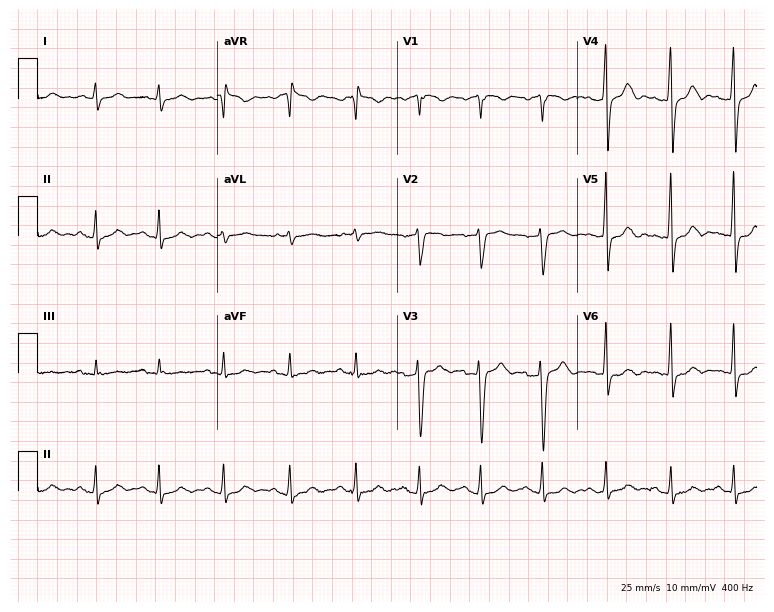
ECG — a male, 56 years old. Labelled as a normal ECG.